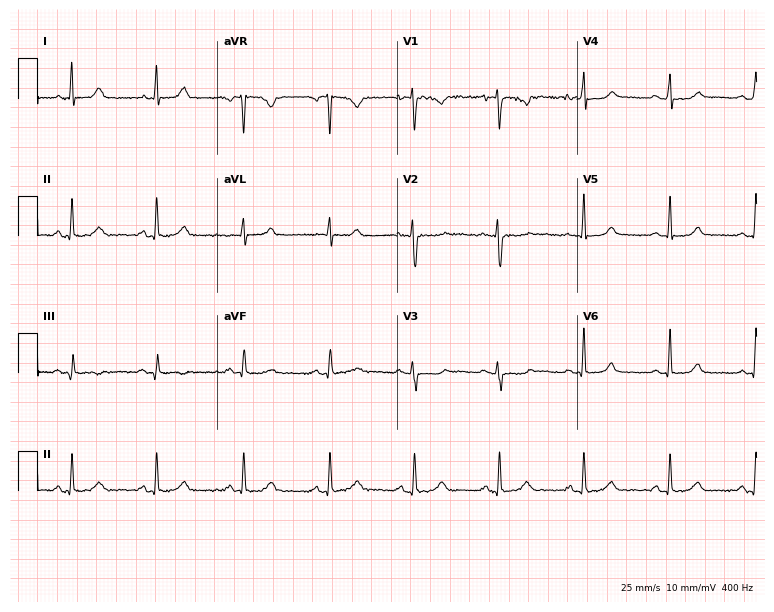
12-lead ECG (7.3-second recording at 400 Hz) from a 32-year-old female patient. Screened for six findings — first-degree AV block, right bundle branch block, left bundle branch block, sinus bradycardia, atrial fibrillation, sinus tachycardia — none is recorded.